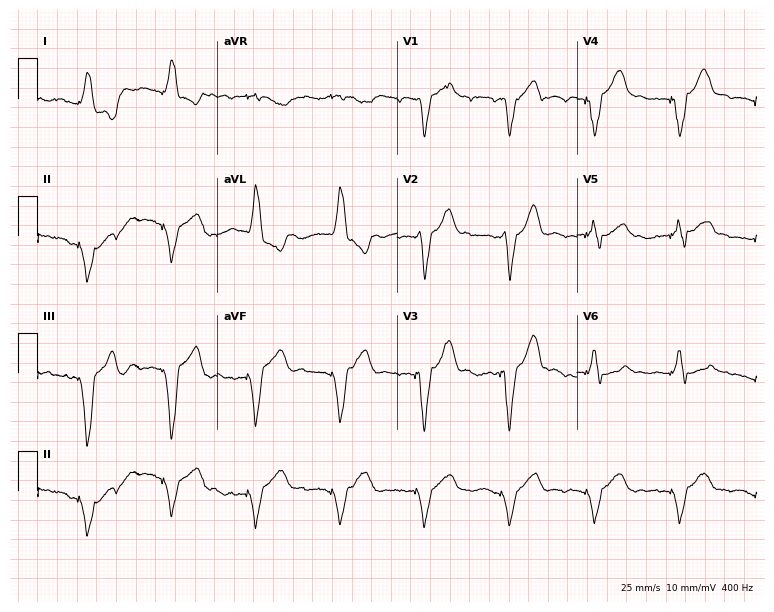
Standard 12-lead ECG recorded from a female, 82 years old (7.3-second recording at 400 Hz). The tracing shows left bundle branch block.